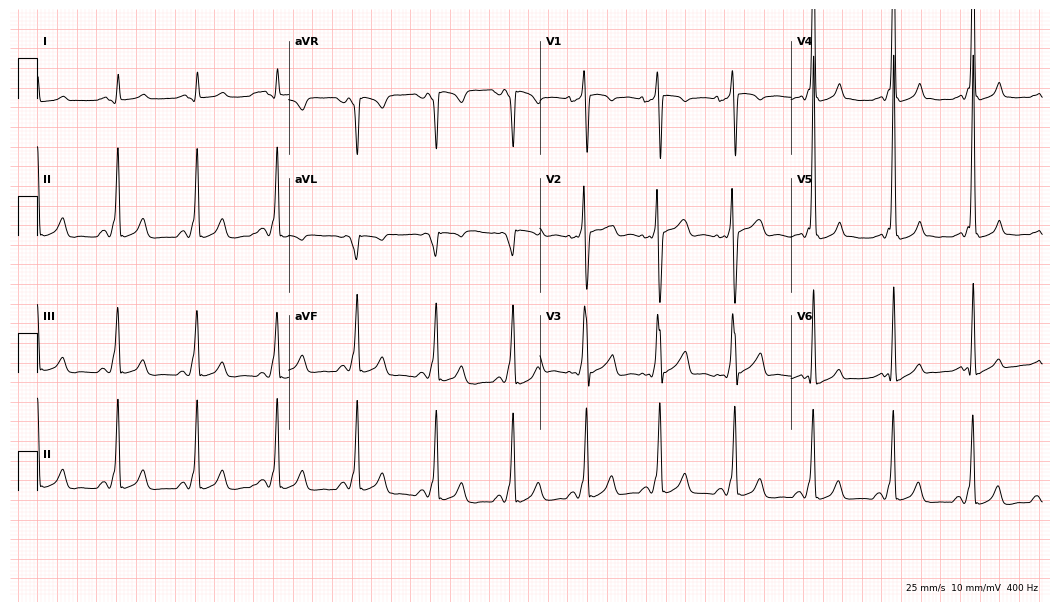
Standard 12-lead ECG recorded from a man, 22 years old (10.2-second recording at 400 Hz). None of these six findings is recorded: first-degree AV block, right bundle branch block, left bundle branch block, sinus bradycardia, atrial fibrillation, sinus tachycardia.